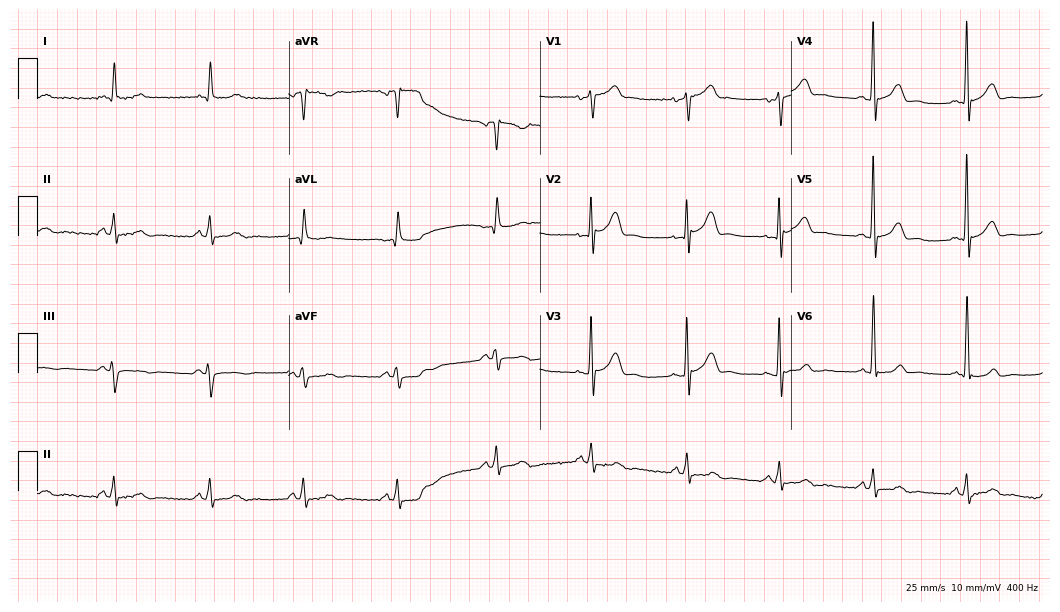
Standard 12-lead ECG recorded from a 68-year-old male (10.2-second recording at 400 Hz). Read as a normal ECG.